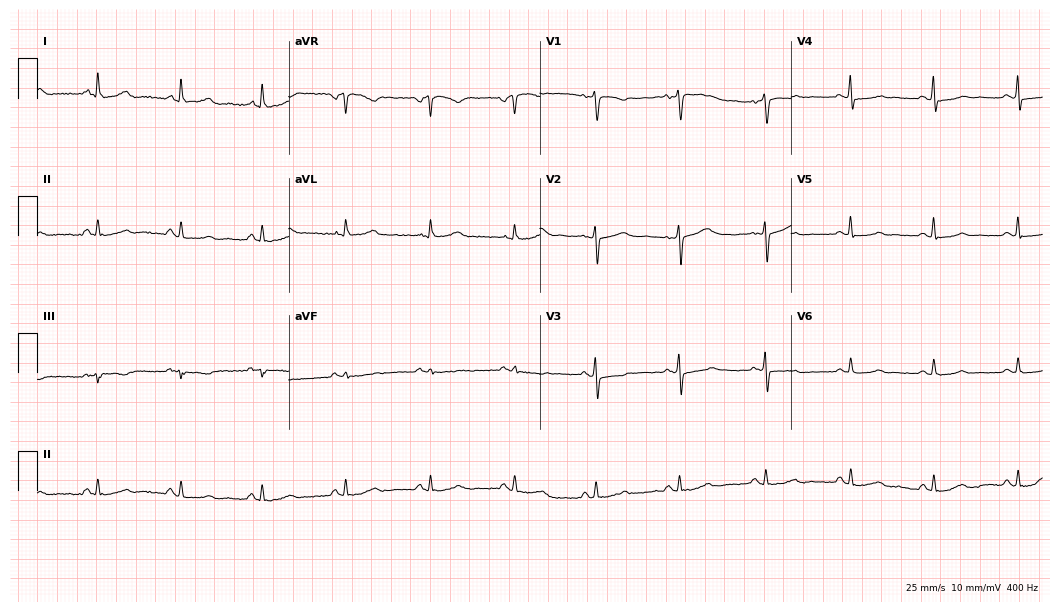
Electrocardiogram (10.2-second recording at 400 Hz), a female, 62 years old. Overall reading on record: normal ECG.